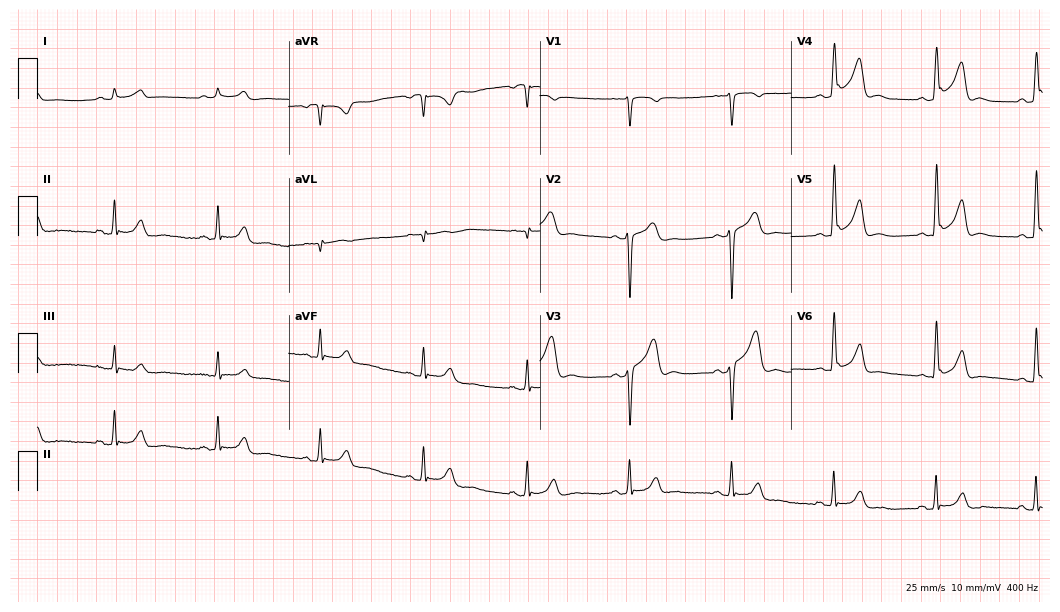
Electrocardiogram (10.2-second recording at 400 Hz), a male, 41 years old. Of the six screened findings (first-degree AV block, right bundle branch block, left bundle branch block, sinus bradycardia, atrial fibrillation, sinus tachycardia), none is recorded.